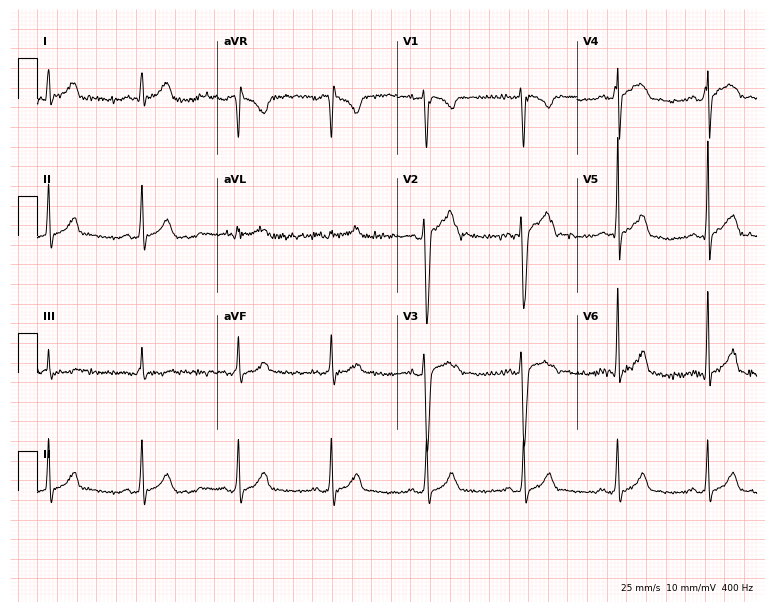
Resting 12-lead electrocardiogram. Patient: a male, 21 years old. Read as a normal ECG.